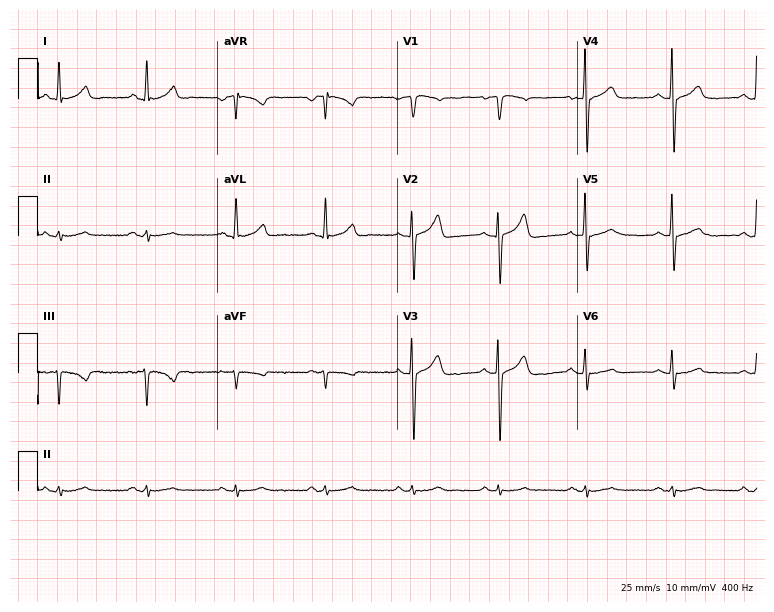
12-lead ECG (7.3-second recording at 400 Hz) from a male, 50 years old. Labelled as a normal ECG.